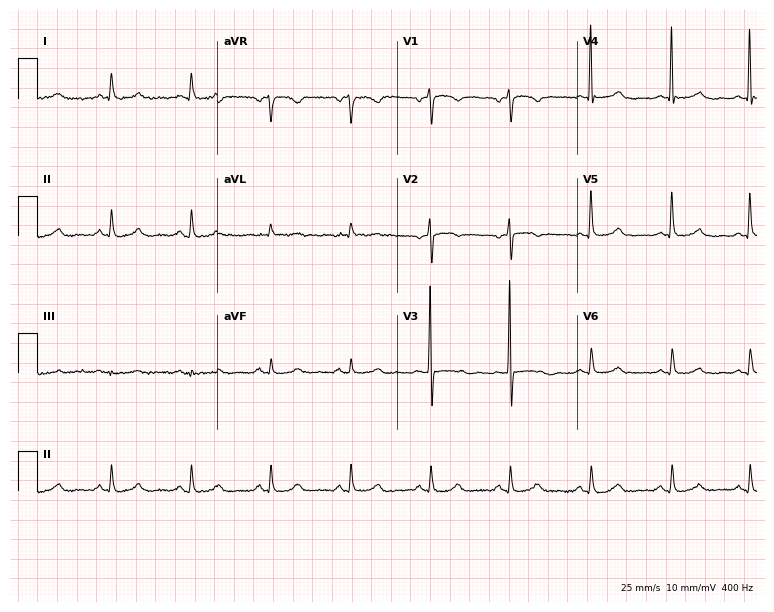
Resting 12-lead electrocardiogram. Patient: a 66-year-old woman. Read as a normal ECG.